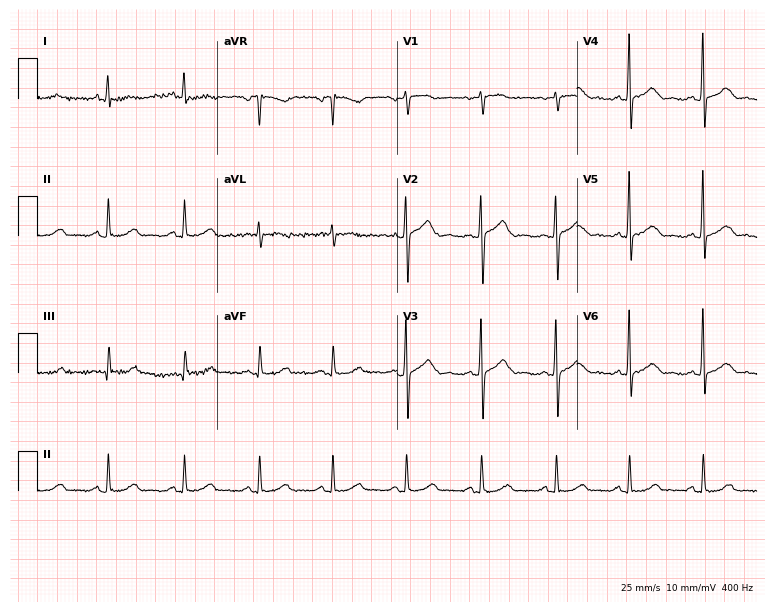
ECG (7.3-second recording at 400 Hz) — a woman, 53 years old. Screened for six findings — first-degree AV block, right bundle branch block (RBBB), left bundle branch block (LBBB), sinus bradycardia, atrial fibrillation (AF), sinus tachycardia — none is recorded. Other findings, if any, are not listed.